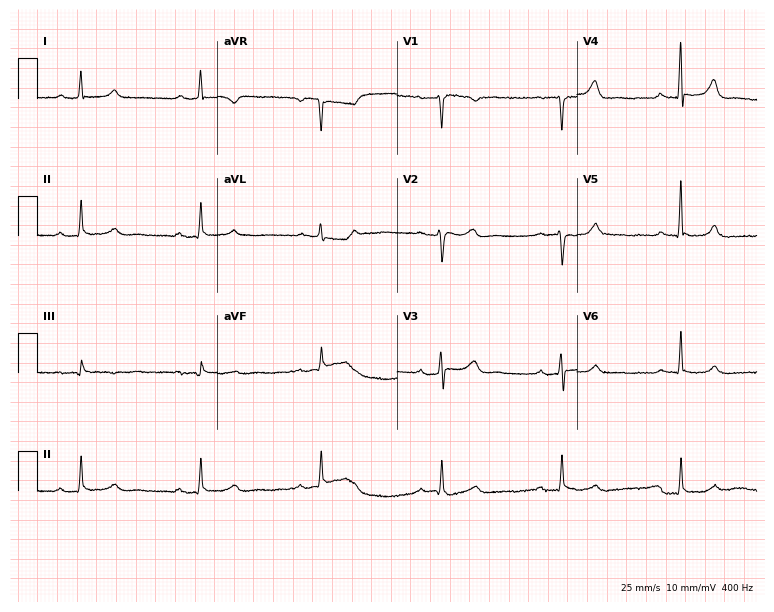
ECG — a male patient, 73 years old. Findings include first-degree AV block, right bundle branch block (RBBB).